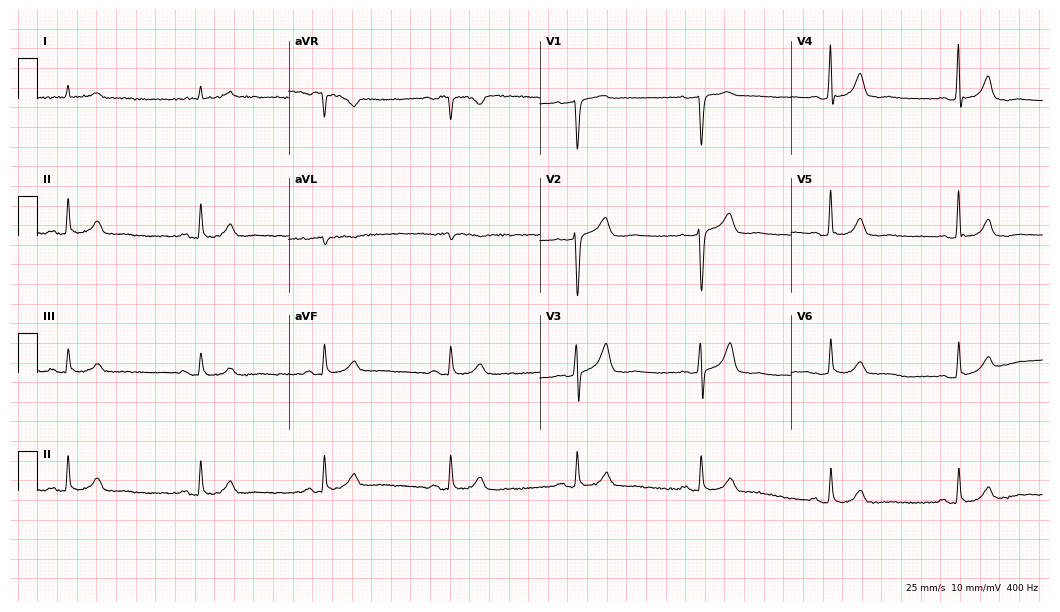
Resting 12-lead electrocardiogram. Patient: a man, 79 years old. The tracing shows sinus bradycardia (a sinus rate of 50 beats per minute or less).